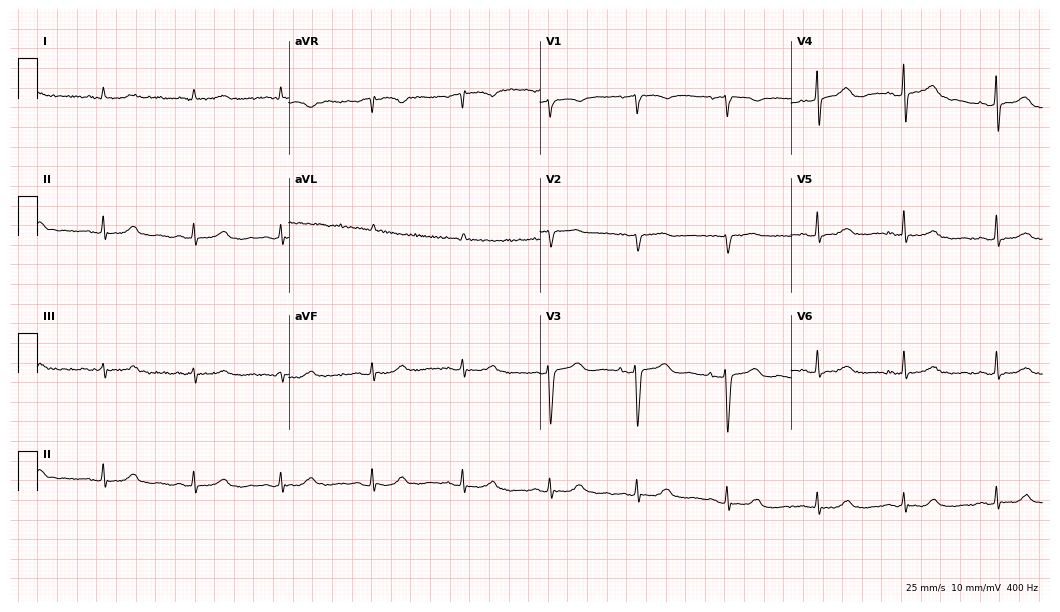
12-lead ECG from an 85-year-old female patient (10.2-second recording at 400 Hz). No first-degree AV block, right bundle branch block (RBBB), left bundle branch block (LBBB), sinus bradycardia, atrial fibrillation (AF) or sinus tachycardia recorded for this tracing.